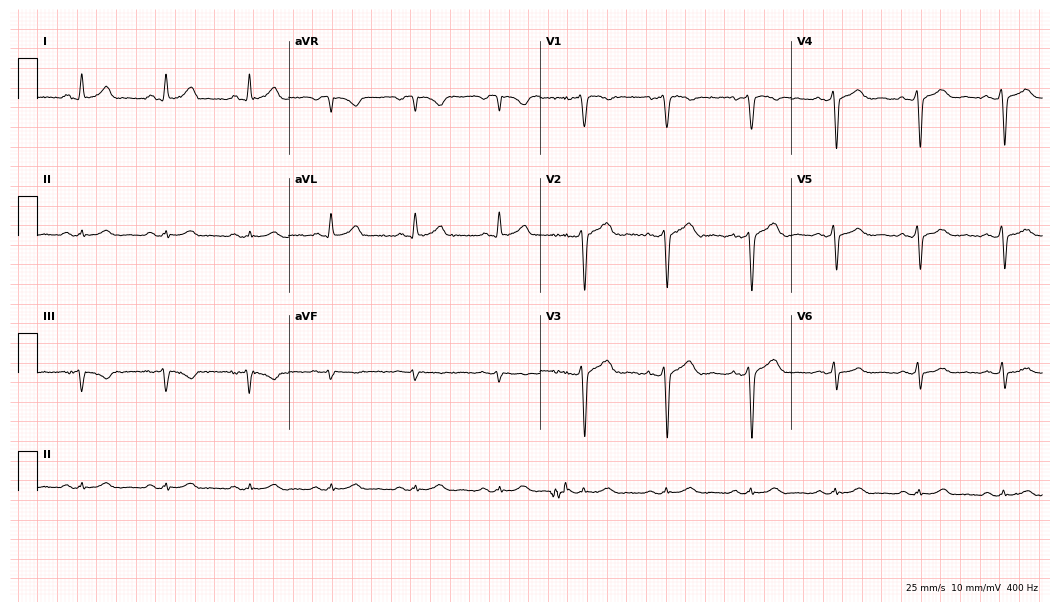
Resting 12-lead electrocardiogram. Patient: a 44-year-old female. None of these six findings is recorded: first-degree AV block, right bundle branch block, left bundle branch block, sinus bradycardia, atrial fibrillation, sinus tachycardia.